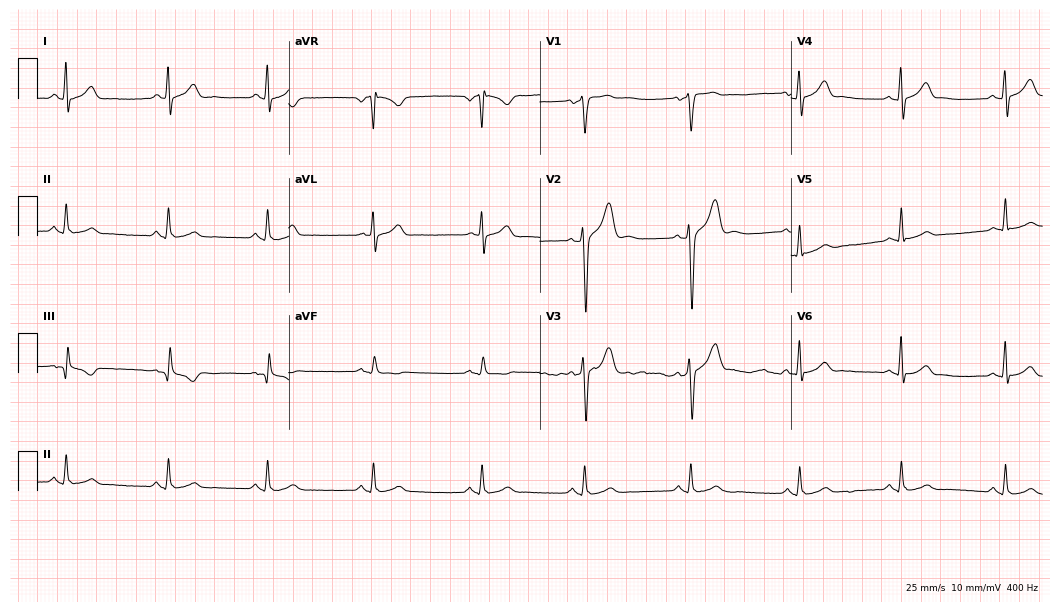
Standard 12-lead ECG recorded from a 33-year-old man. Read as a normal ECG.